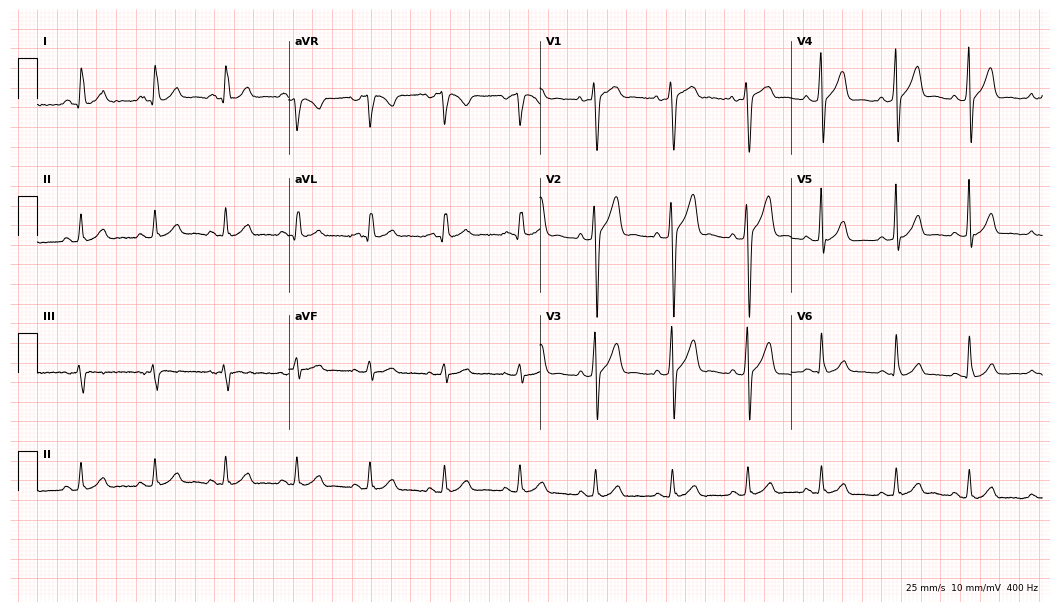
Resting 12-lead electrocardiogram (10.2-second recording at 400 Hz). Patient: a 30-year-old male. None of these six findings is recorded: first-degree AV block, right bundle branch block, left bundle branch block, sinus bradycardia, atrial fibrillation, sinus tachycardia. Findings outside these six are not listed.